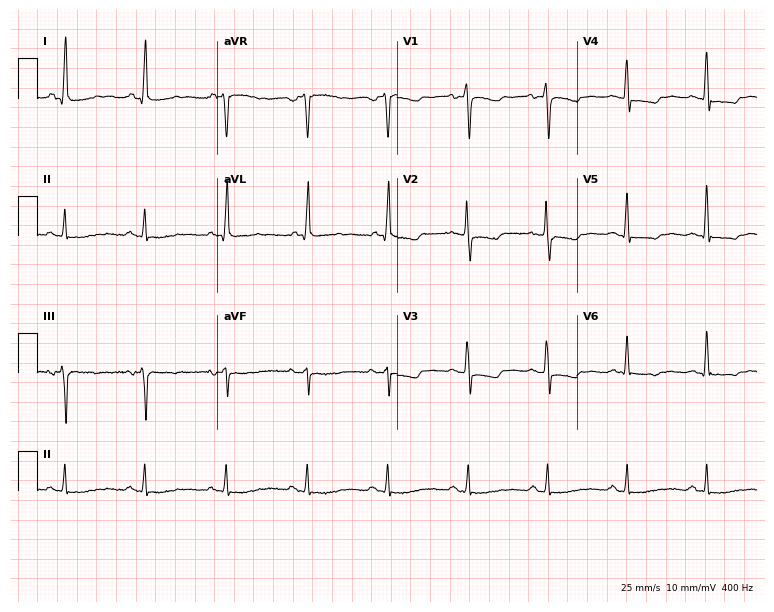
Standard 12-lead ECG recorded from a 58-year-old woman. None of these six findings is recorded: first-degree AV block, right bundle branch block, left bundle branch block, sinus bradycardia, atrial fibrillation, sinus tachycardia.